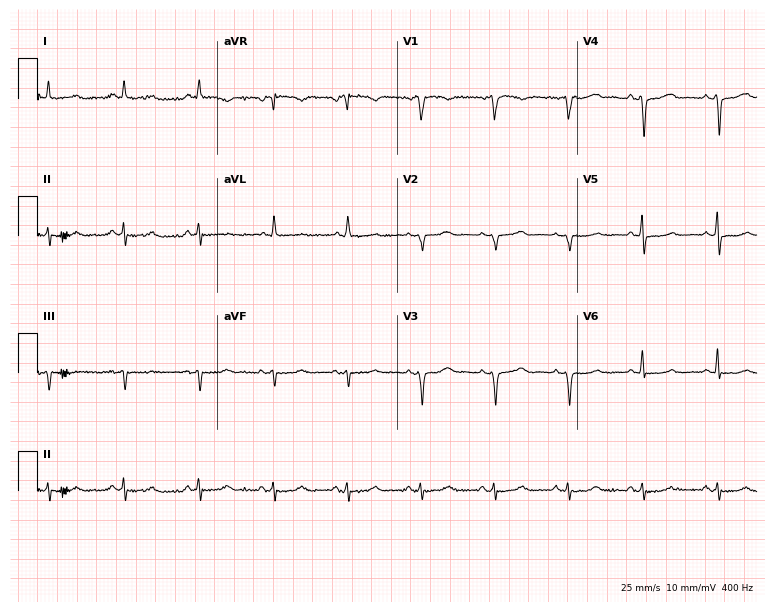
Standard 12-lead ECG recorded from a female patient, 43 years old. None of these six findings is recorded: first-degree AV block, right bundle branch block, left bundle branch block, sinus bradycardia, atrial fibrillation, sinus tachycardia.